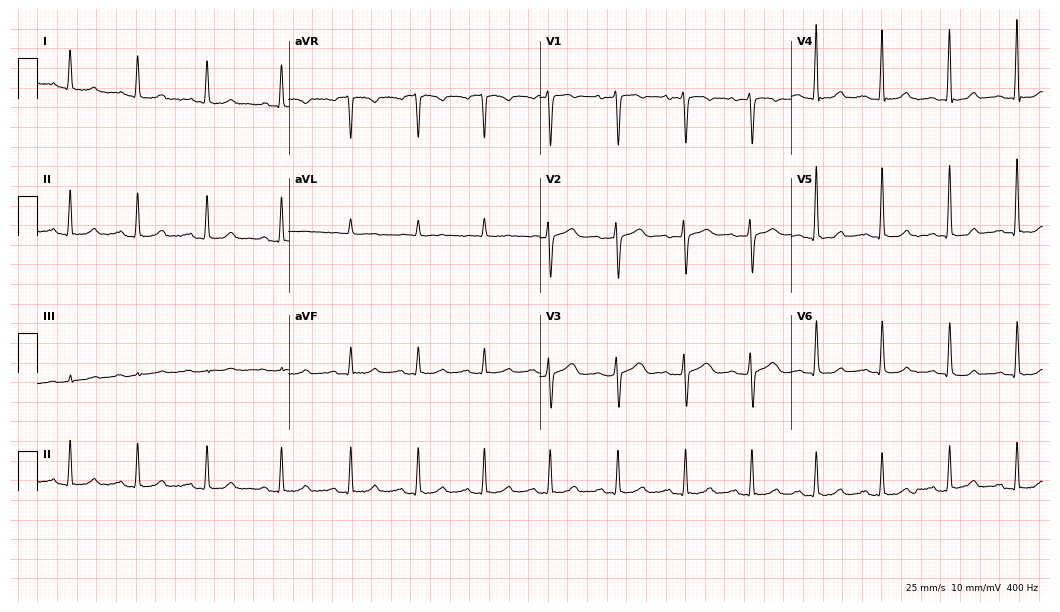
12-lead ECG (10.2-second recording at 400 Hz) from a female, 28 years old. Labelled as a normal ECG.